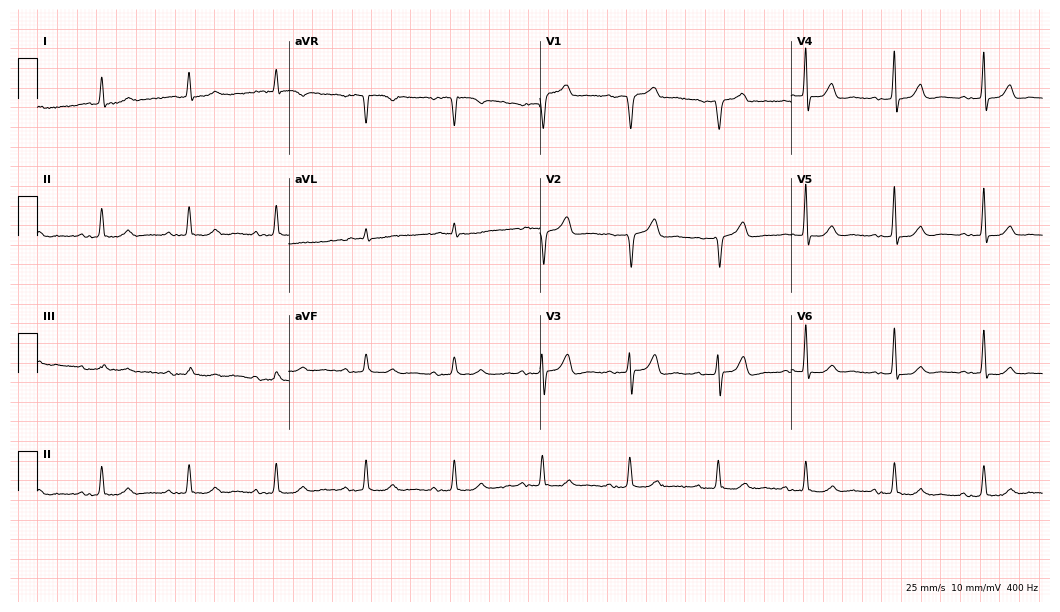
Standard 12-lead ECG recorded from a male patient, 84 years old. Read as a normal ECG.